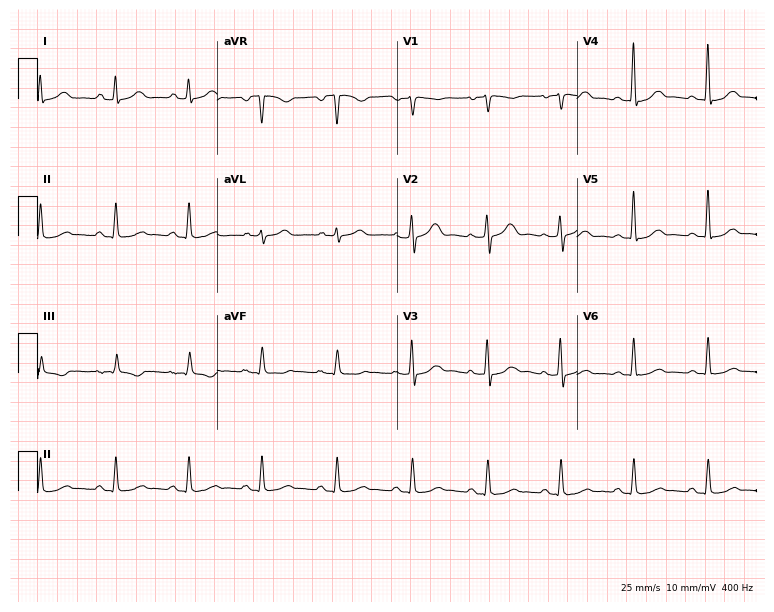
ECG (7.3-second recording at 400 Hz) — a man, 35 years old. Screened for six findings — first-degree AV block, right bundle branch block, left bundle branch block, sinus bradycardia, atrial fibrillation, sinus tachycardia — none is recorded. Only these six findings were labelled.